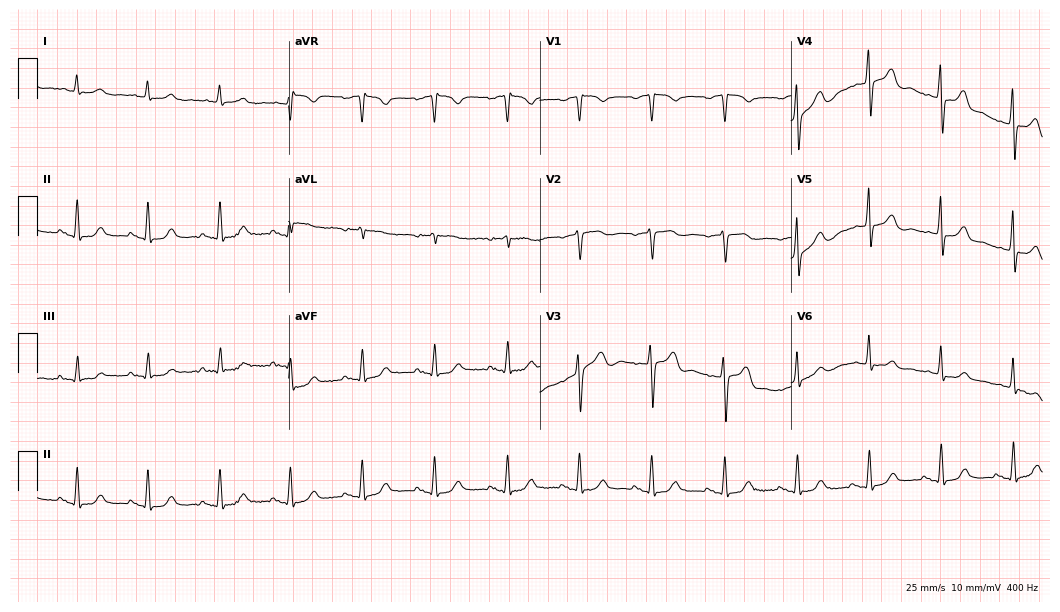
12-lead ECG from an 81-year-old male. Recorded interpretation: within normal limits.